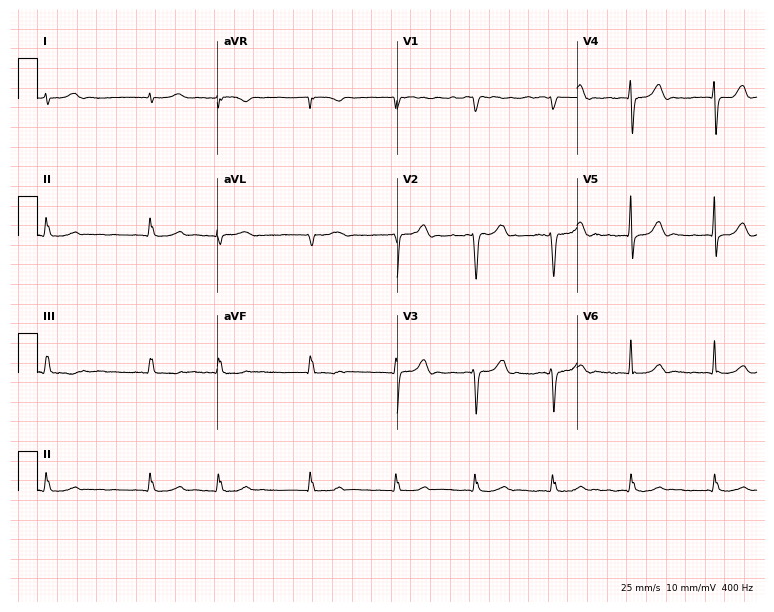
12-lead ECG from a man, 74 years old. Shows atrial fibrillation (AF).